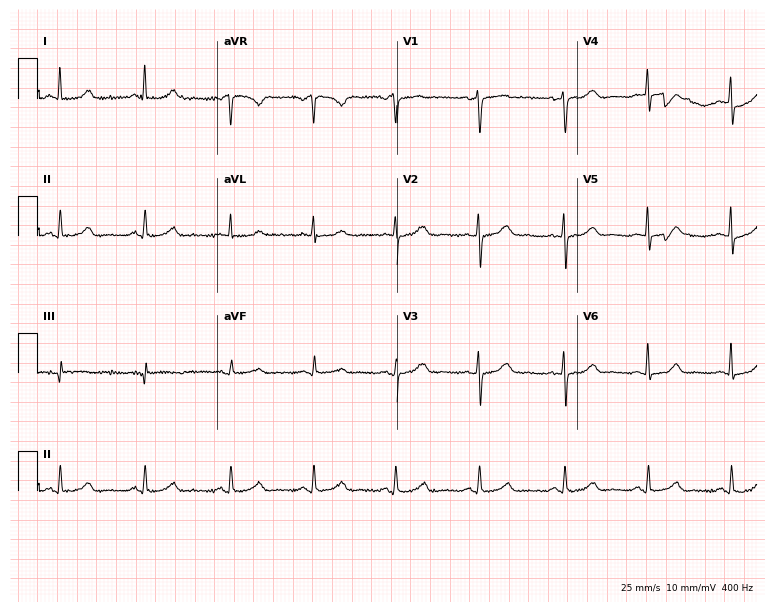
Electrocardiogram, a female, 61 years old. Overall reading on record: normal ECG.